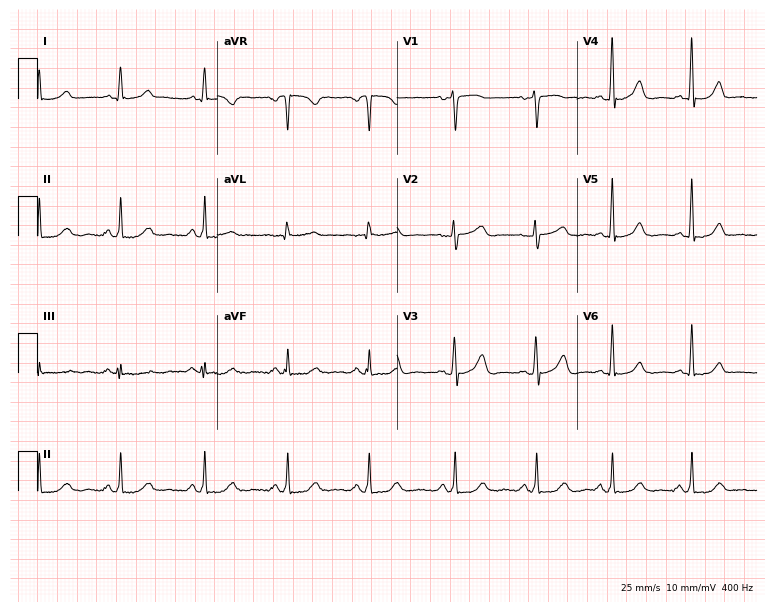
Resting 12-lead electrocardiogram. Patient: a 40-year-old woman. None of these six findings is recorded: first-degree AV block, right bundle branch block (RBBB), left bundle branch block (LBBB), sinus bradycardia, atrial fibrillation (AF), sinus tachycardia. Only these six findings were labelled.